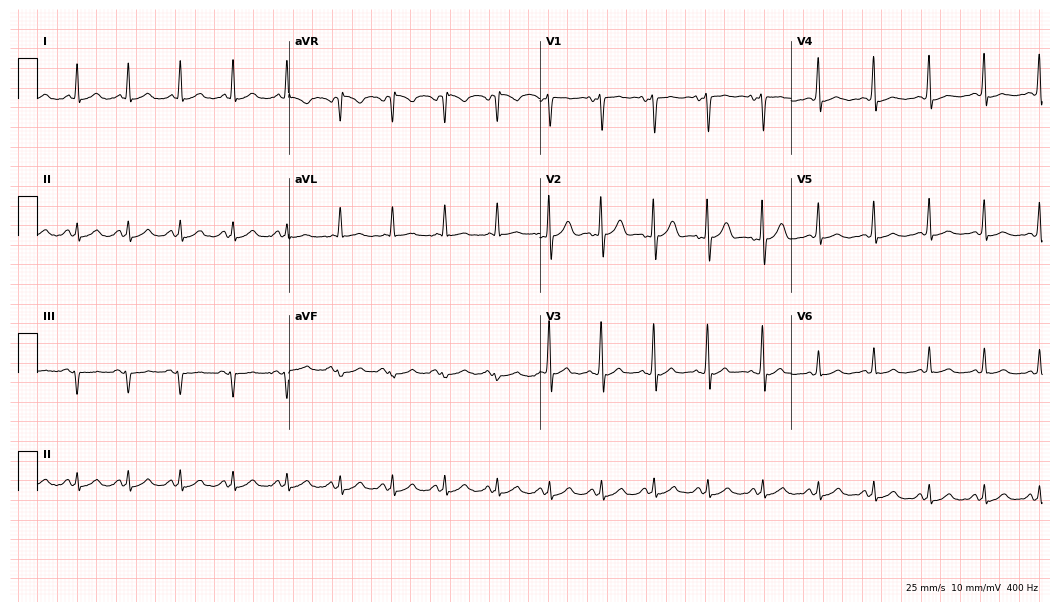
Standard 12-lead ECG recorded from a man, 33 years old. The tracing shows sinus tachycardia (a sinus rate of 100 beats per minute or more).